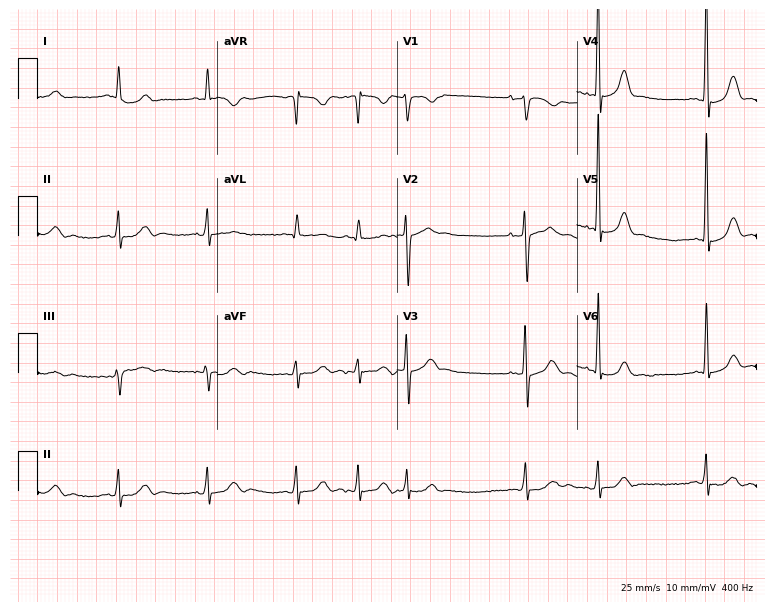
Resting 12-lead electrocardiogram (7.3-second recording at 400 Hz). Patient: a male, 82 years old. None of these six findings is recorded: first-degree AV block, right bundle branch block, left bundle branch block, sinus bradycardia, atrial fibrillation, sinus tachycardia.